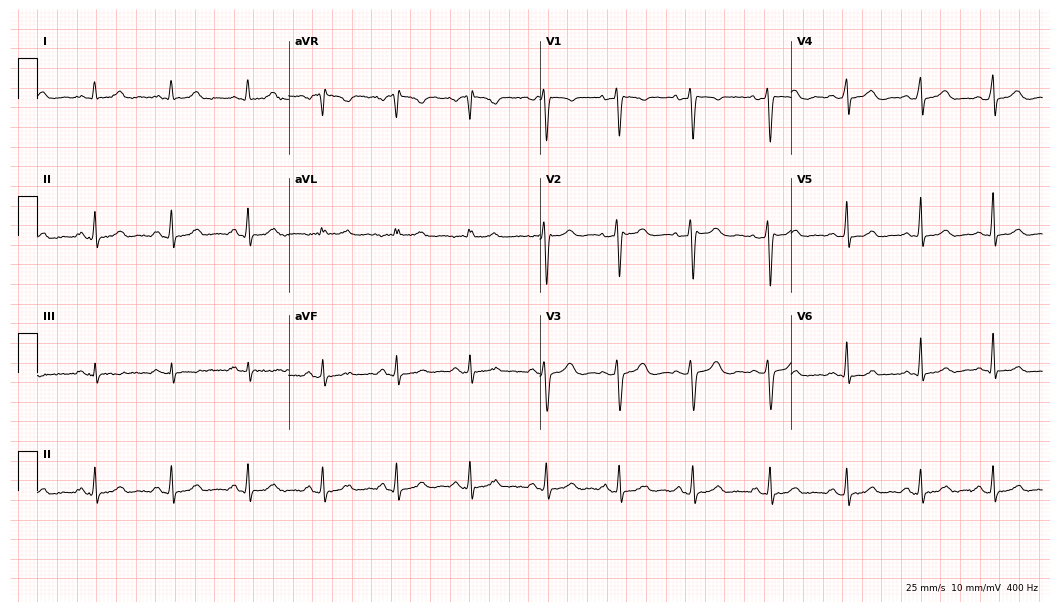
12-lead ECG from a female, 43 years old (10.2-second recording at 400 Hz). Recorded interpretation: within normal limits.